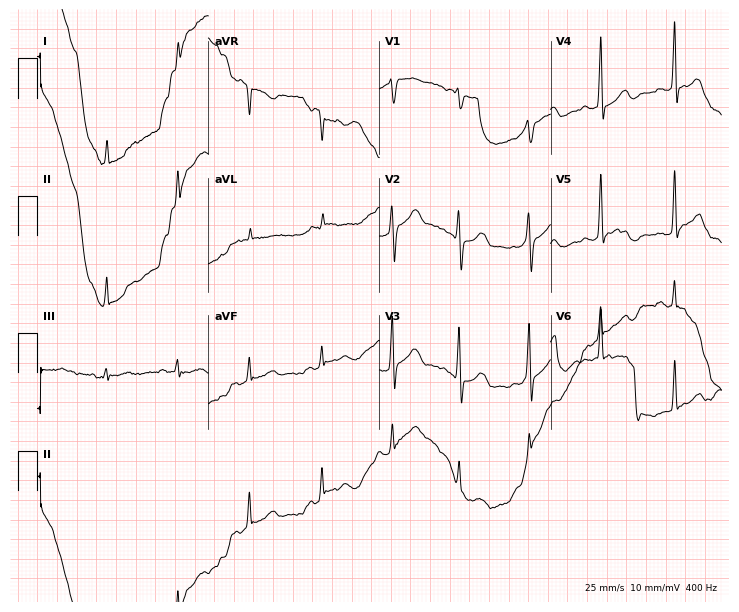
Resting 12-lead electrocardiogram (7-second recording at 400 Hz). Patient: a 44-year-old man. Read as a normal ECG.